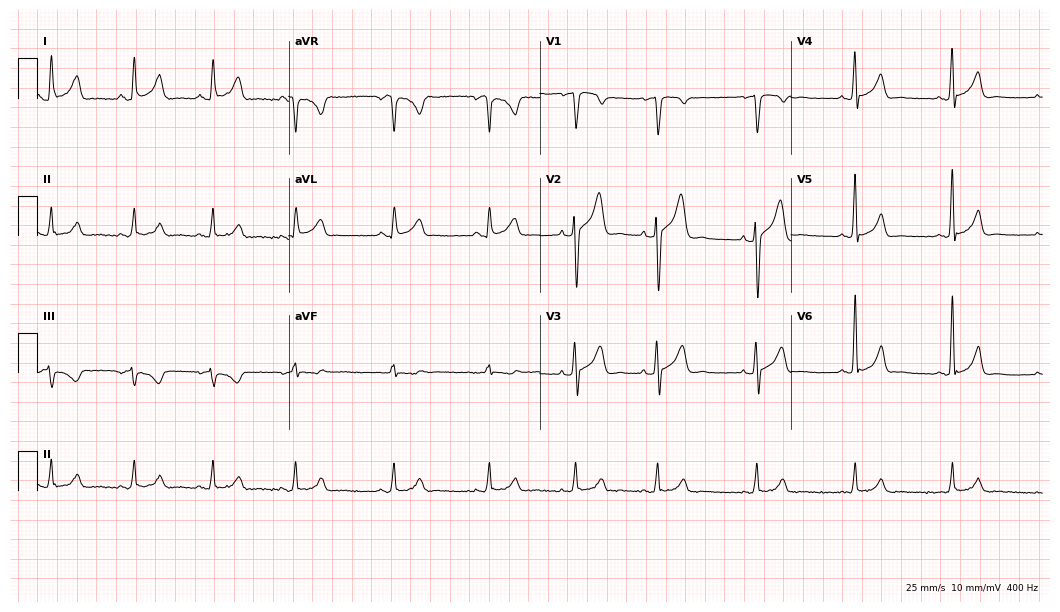
12-lead ECG from a male patient, 30 years old. Recorded interpretation: within normal limits.